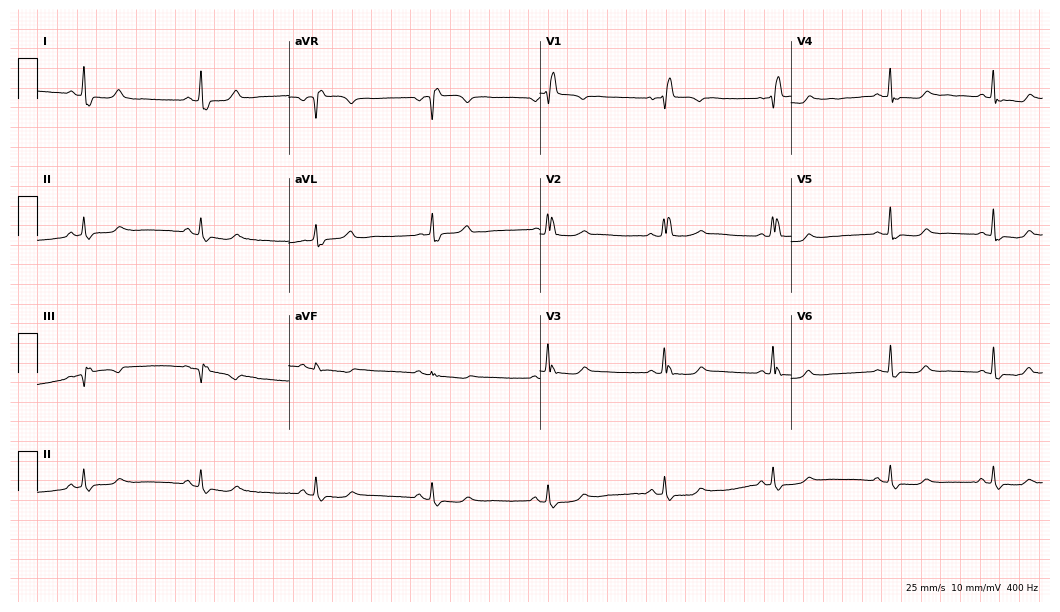
12-lead ECG from a 74-year-old woman. Findings include right bundle branch block.